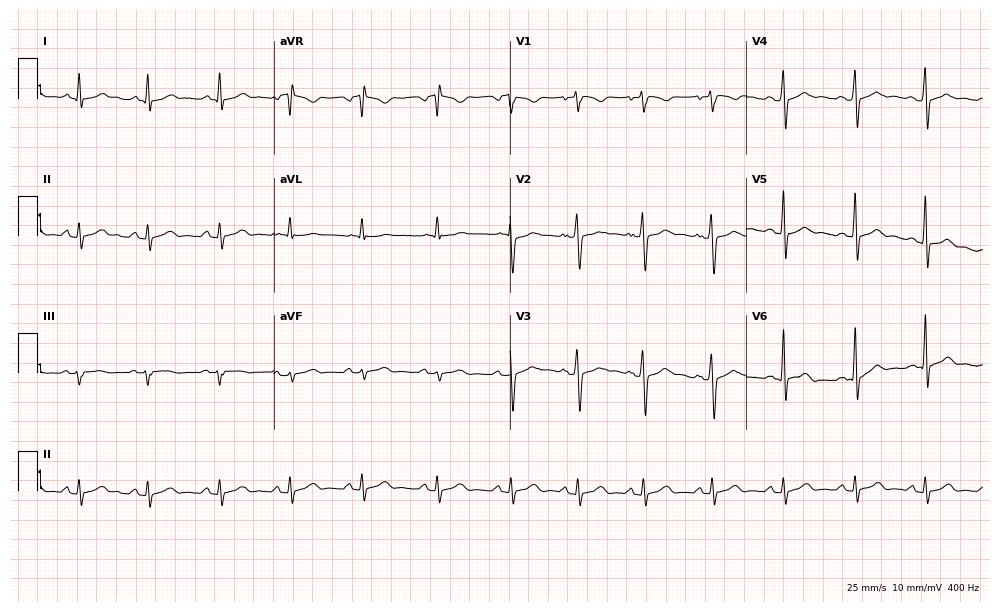
12-lead ECG (9.6-second recording at 400 Hz) from a man, 31 years old. Labelled as a normal ECG.